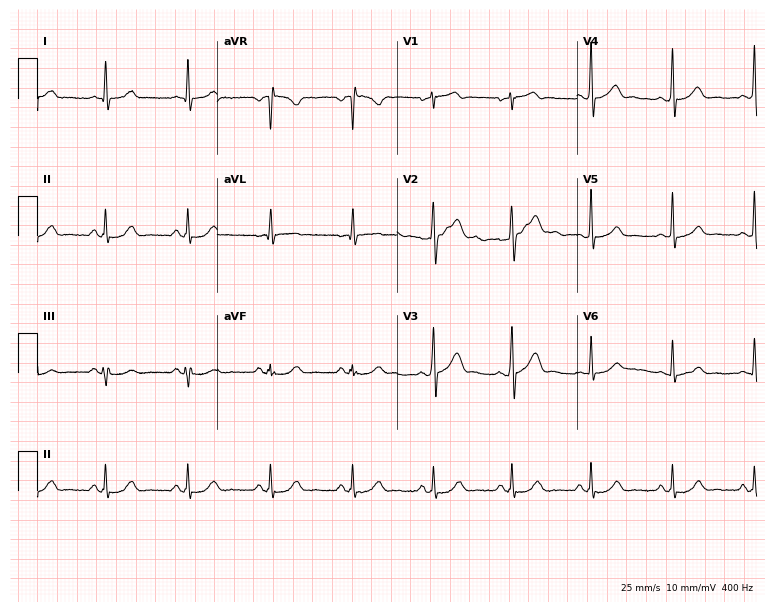
Standard 12-lead ECG recorded from a 47-year-old male. Read as a normal ECG.